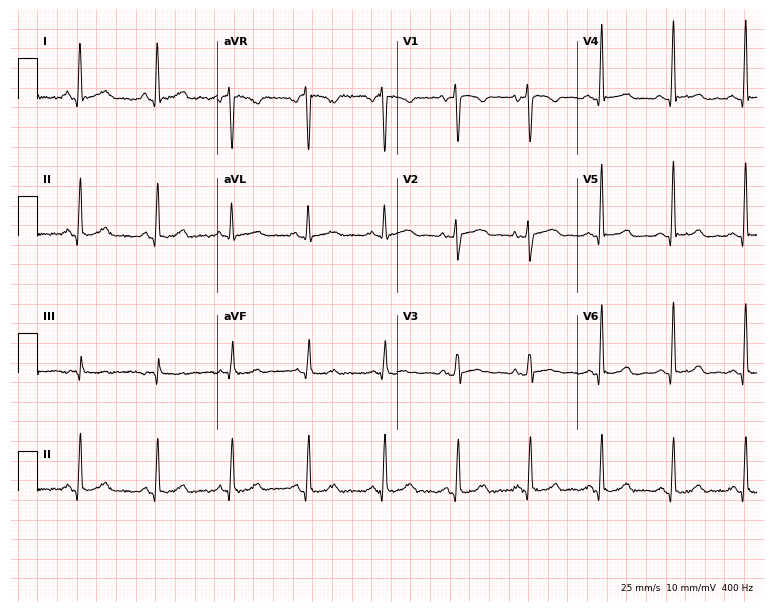
12-lead ECG from a female, 45 years old. Labelled as a normal ECG.